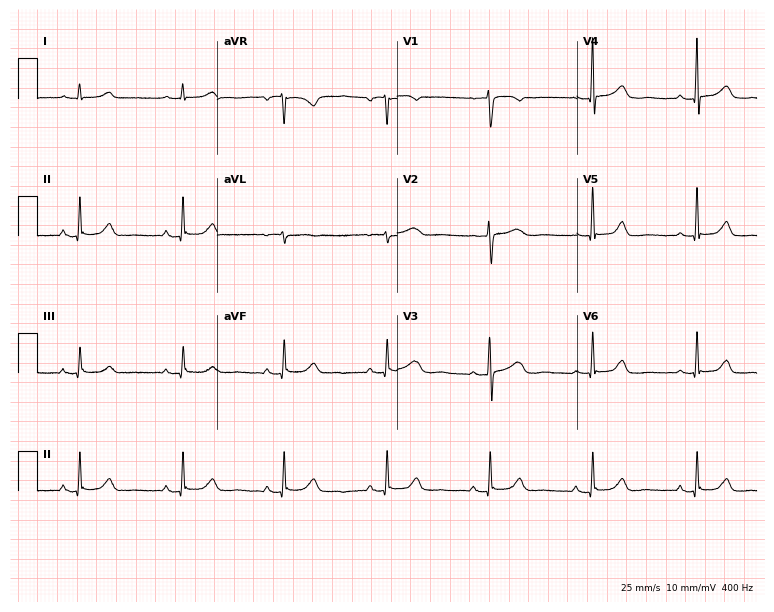
ECG — a female, 79 years old. Screened for six findings — first-degree AV block, right bundle branch block, left bundle branch block, sinus bradycardia, atrial fibrillation, sinus tachycardia — none is recorded. Other findings, if any, are not listed.